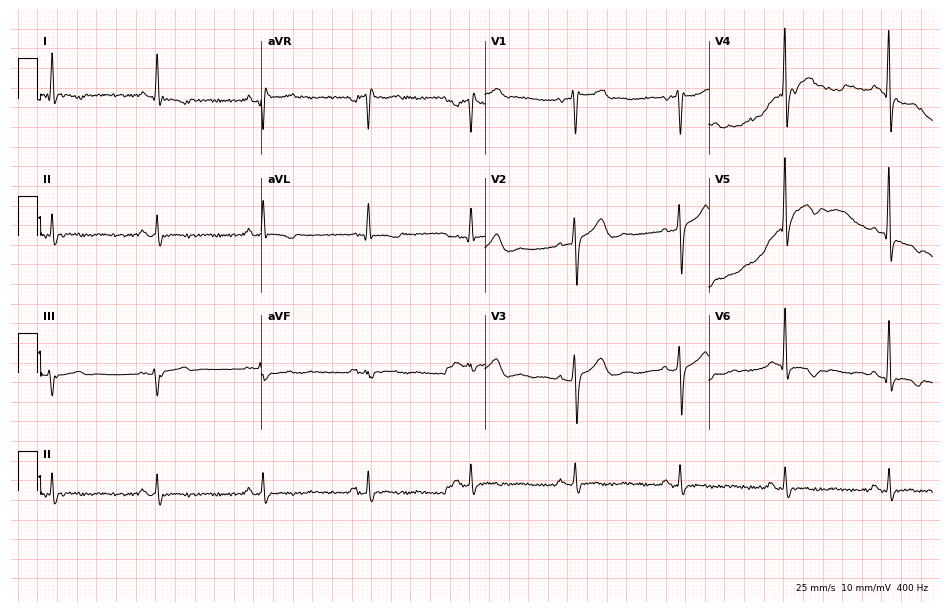
12-lead ECG from a 45-year-old male (9.1-second recording at 400 Hz). No first-degree AV block, right bundle branch block (RBBB), left bundle branch block (LBBB), sinus bradycardia, atrial fibrillation (AF) or sinus tachycardia recorded for this tracing. Only these six findings were labelled.